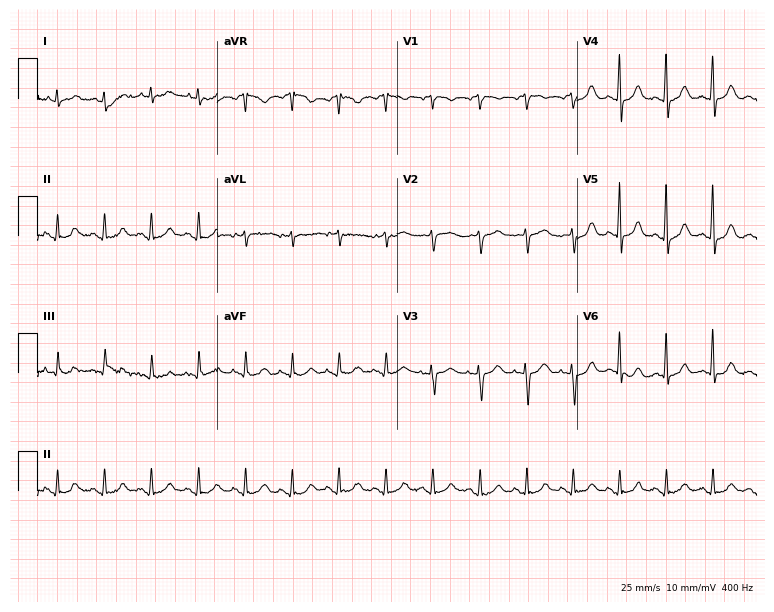
Electrocardiogram, a female patient, 66 years old. Interpretation includes sinus tachycardia (a sinus rate of 100 beats per minute or more).